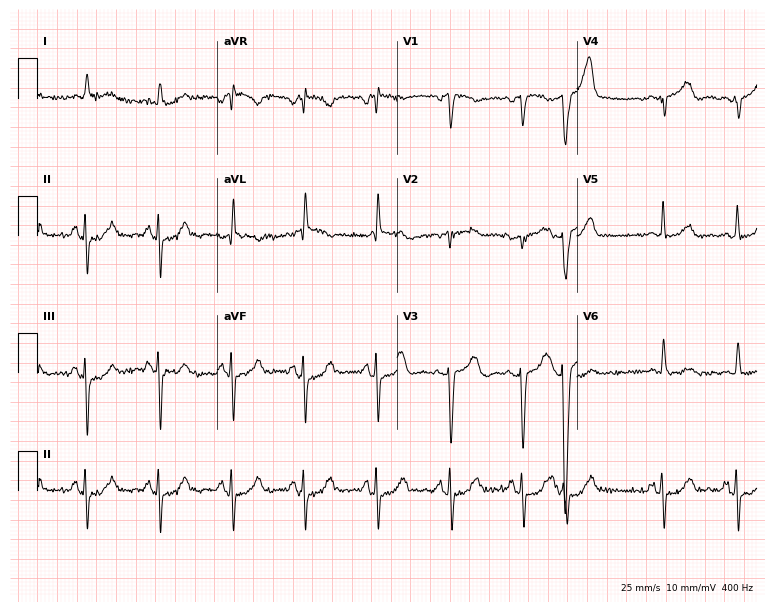
12-lead ECG (7.3-second recording at 400 Hz) from a male patient, 77 years old. Screened for six findings — first-degree AV block, right bundle branch block, left bundle branch block, sinus bradycardia, atrial fibrillation, sinus tachycardia — none is recorded. Other findings, if any, are not listed.